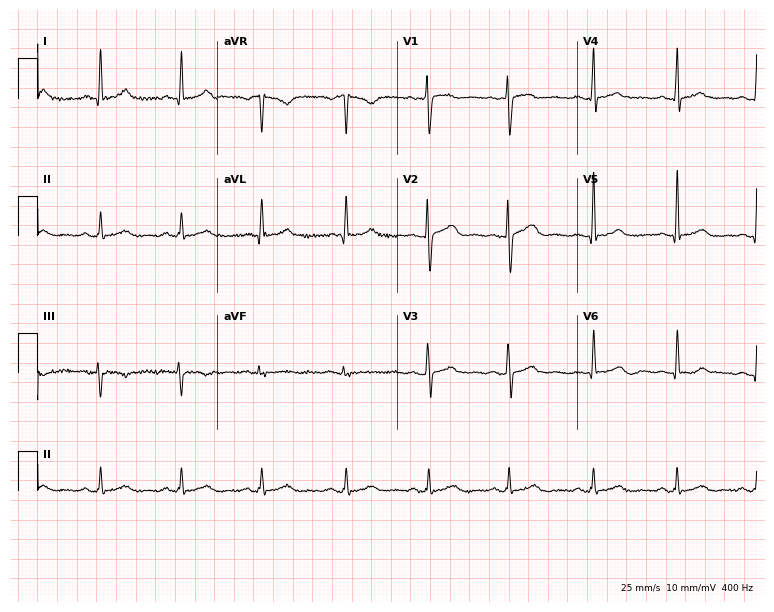
ECG — a 49-year-old female patient. Screened for six findings — first-degree AV block, right bundle branch block (RBBB), left bundle branch block (LBBB), sinus bradycardia, atrial fibrillation (AF), sinus tachycardia — none is recorded. Findings outside these six are not listed.